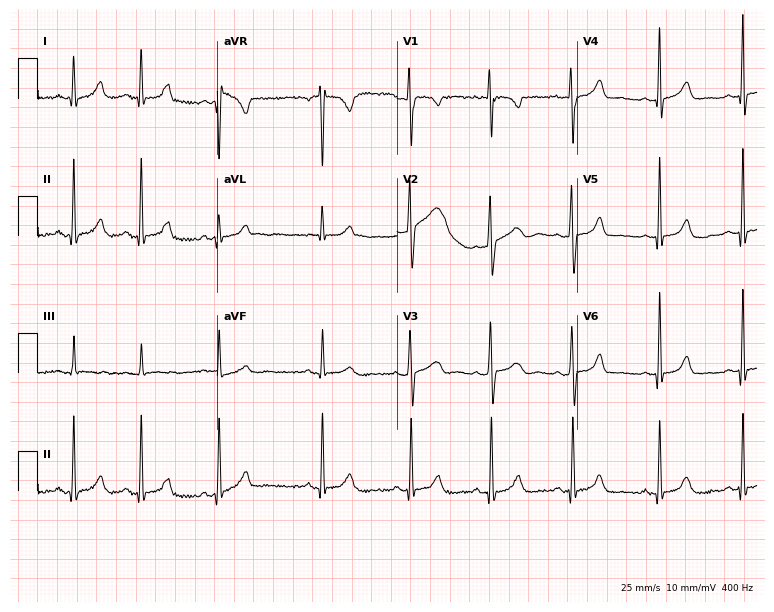
Standard 12-lead ECG recorded from a female, 23 years old (7.3-second recording at 400 Hz). Read as a normal ECG.